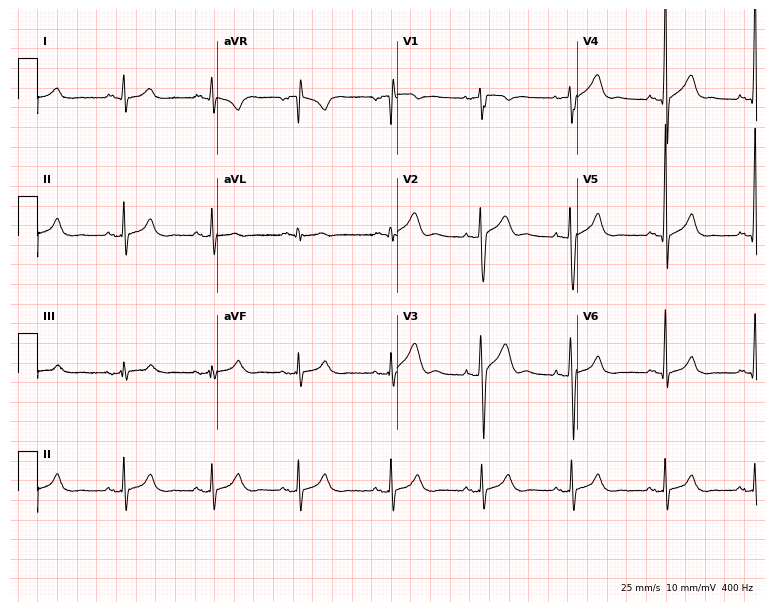
12-lead ECG from a male patient, 27 years old (7.3-second recording at 400 Hz). No first-degree AV block, right bundle branch block, left bundle branch block, sinus bradycardia, atrial fibrillation or sinus tachycardia recorded for this tracing. Other findings, if any, are not listed.